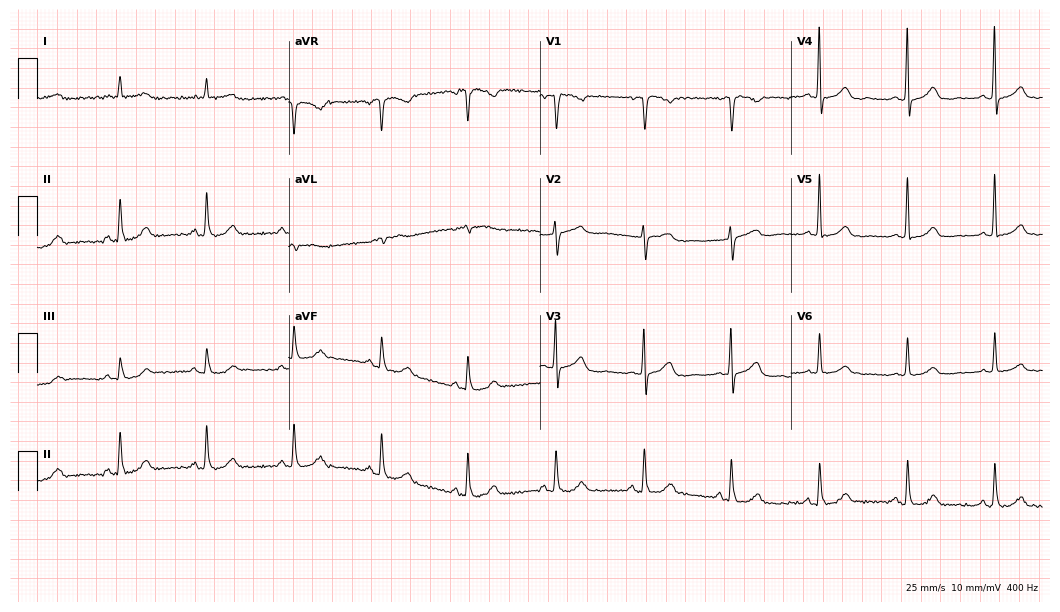
12-lead ECG from a female patient, 79 years old. Labelled as a normal ECG.